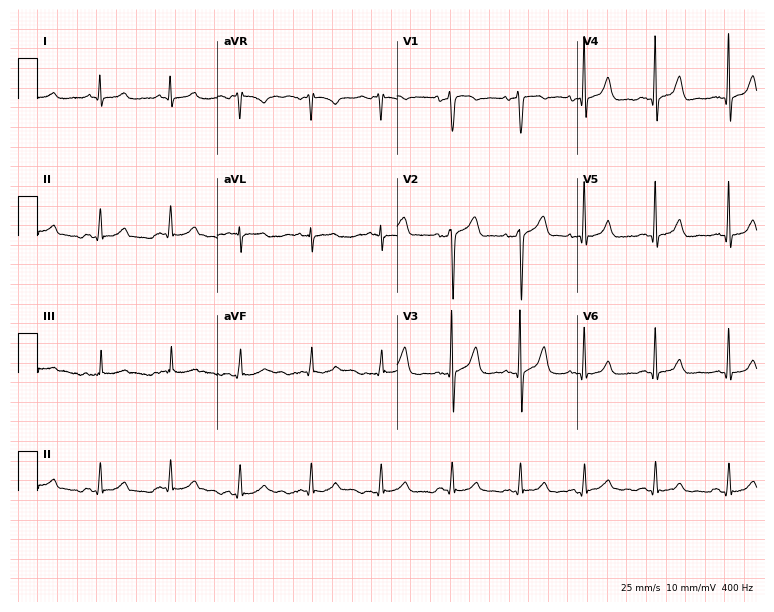
ECG (7.3-second recording at 400 Hz) — a man, 43 years old. Screened for six findings — first-degree AV block, right bundle branch block, left bundle branch block, sinus bradycardia, atrial fibrillation, sinus tachycardia — none is recorded. Findings outside these six are not listed.